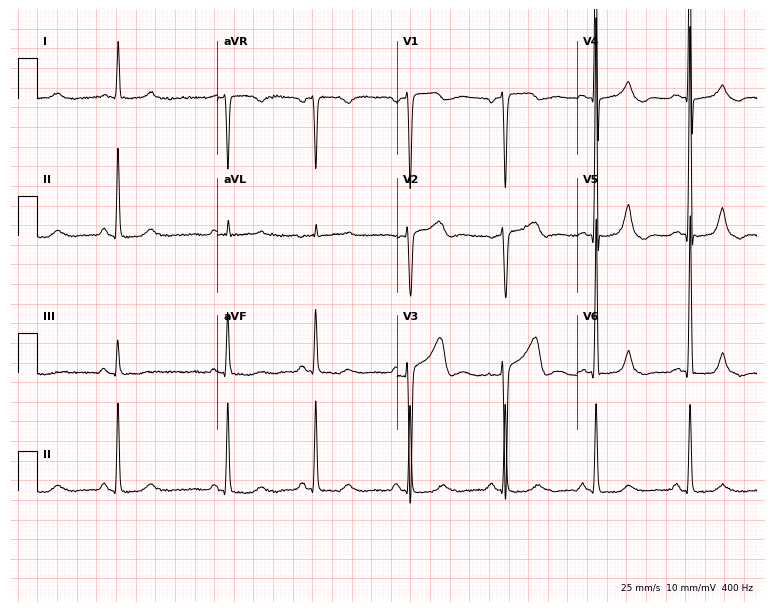
12-lead ECG (7.3-second recording at 400 Hz) from an 82-year-old male. Labelled as a normal ECG.